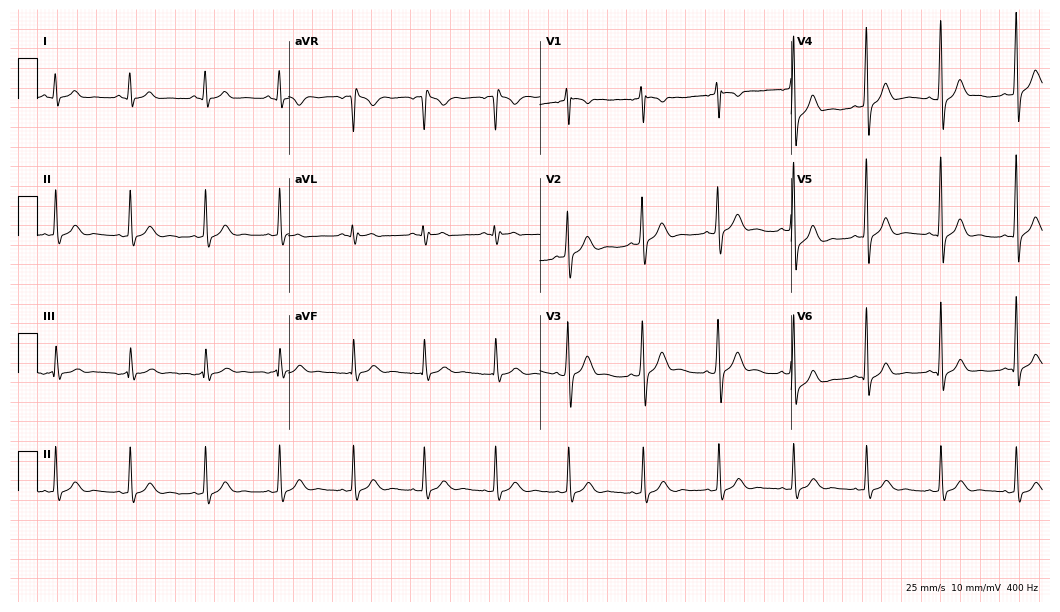
12-lead ECG from a 33-year-old male (10.2-second recording at 400 Hz). No first-degree AV block, right bundle branch block (RBBB), left bundle branch block (LBBB), sinus bradycardia, atrial fibrillation (AF) or sinus tachycardia recorded for this tracing.